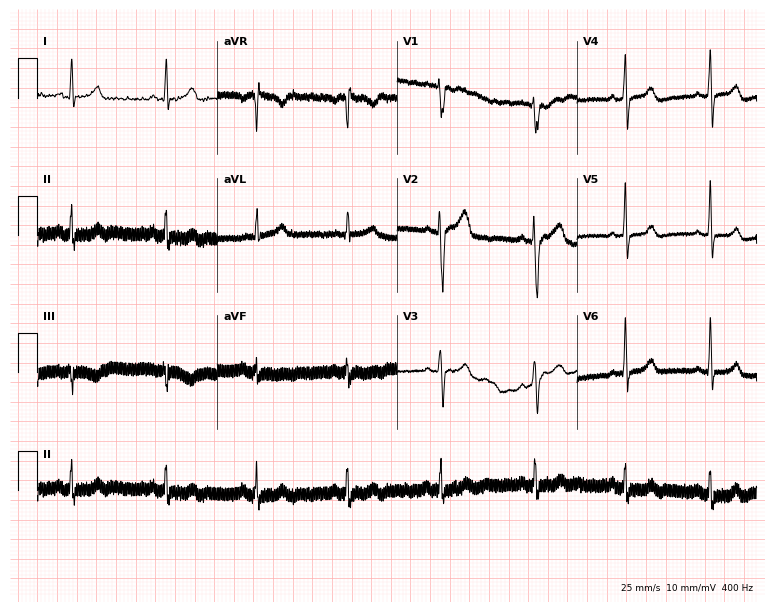
12-lead ECG from a male, 23 years old. No first-degree AV block, right bundle branch block, left bundle branch block, sinus bradycardia, atrial fibrillation or sinus tachycardia recorded for this tracing. Other findings, if any, are not listed.